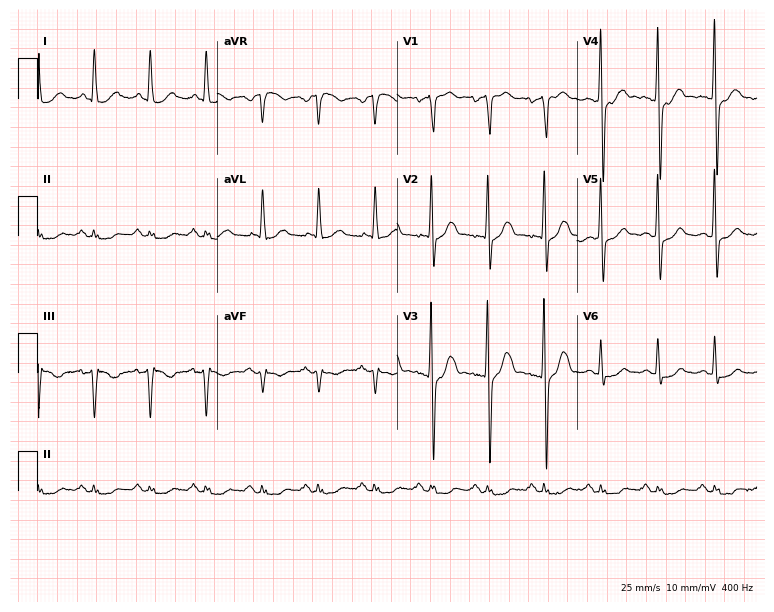
Standard 12-lead ECG recorded from a man, 71 years old. The tracing shows sinus tachycardia (a sinus rate of 100 beats per minute or more).